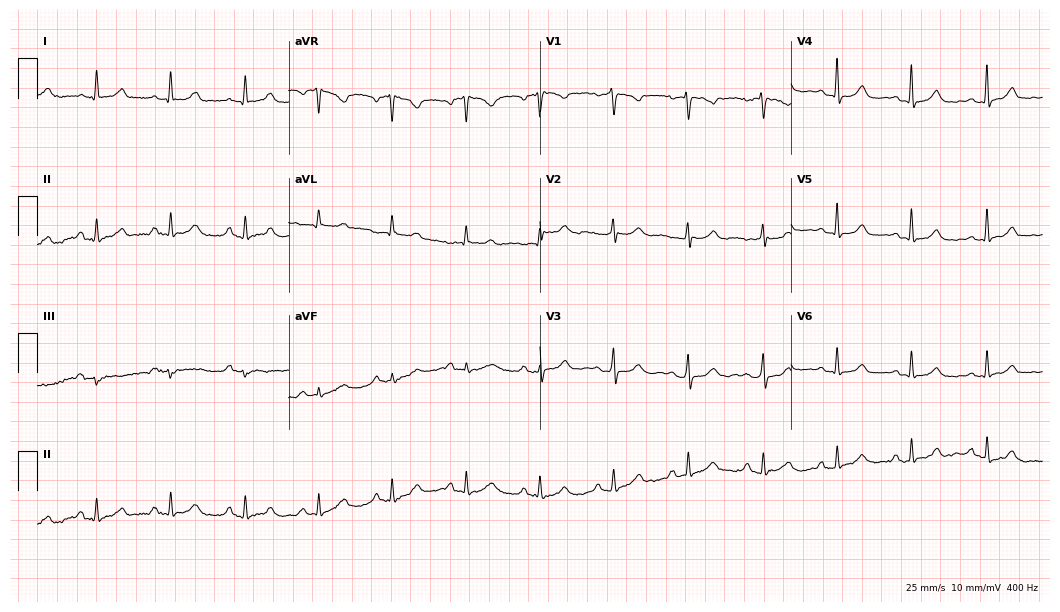
Standard 12-lead ECG recorded from a 47-year-old woman. Read as a normal ECG.